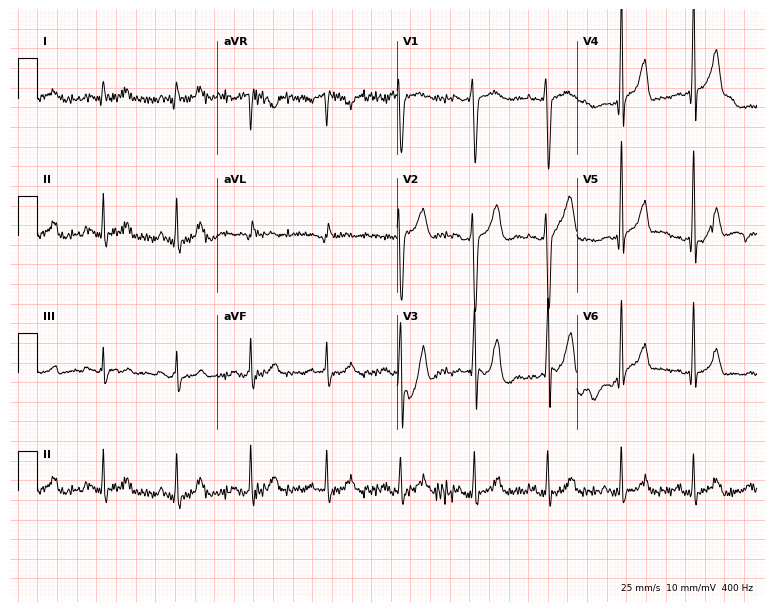
Resting 12-lead electrocardiogram. Patient: a man, 25 years old. None of these six findings is recorded: first-degree AV block, right bundle branch block (RBBB), left bundle branch block (LBBB), sinus bradycardia, atrial fibrillation (AF), sinus tachycardia. Other findings, if any, are not listed.